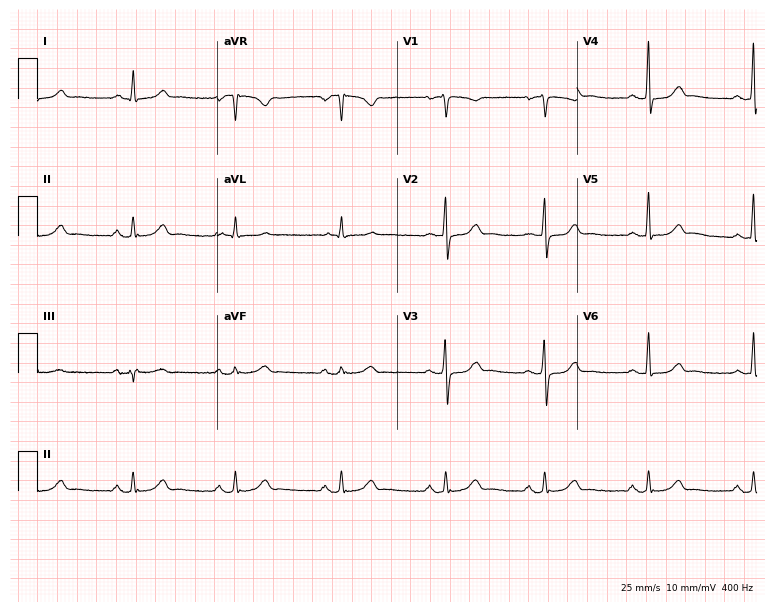
Resting 12-lead electrocardiogram (7.3-second recording at 400 Hz). Patient: a 51-year-old woman. Read as a normal ECG.